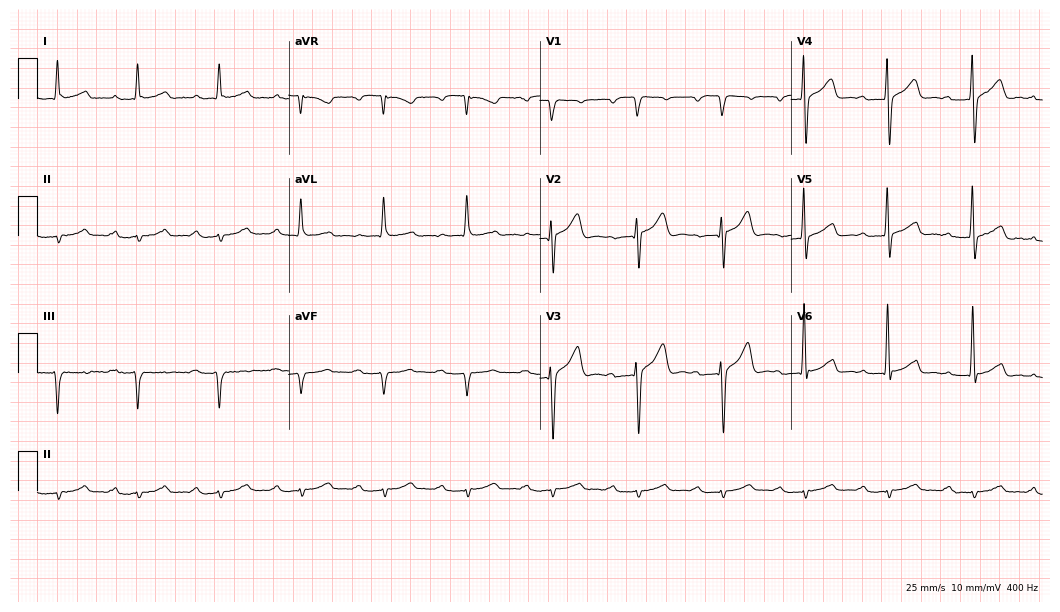
12-lead ECG (10.2-second recording at 400 Hz) from an 81-year-old man. Findings include first-degree AV block.